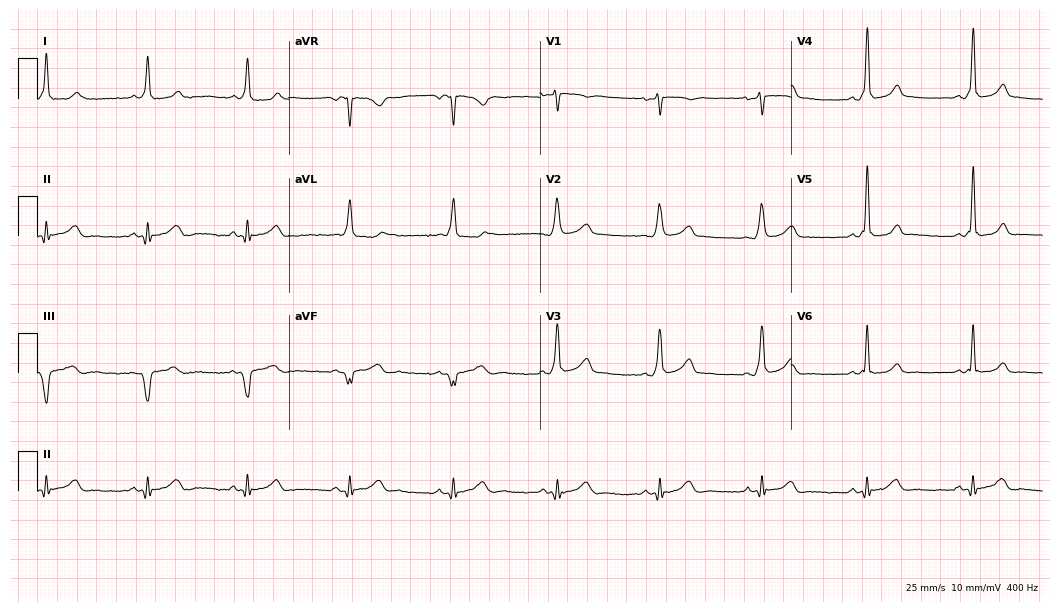
12-lead ECG from a 42-year-old male patient (10.2-second recording at 400 Hz). No first-degree AV block, right bundle branch block (RBBB), left bundle branch block (LBBB), sinus bradycardia, atrial fibrillation (AF) or sinus tachycardia recorded for this tracing.